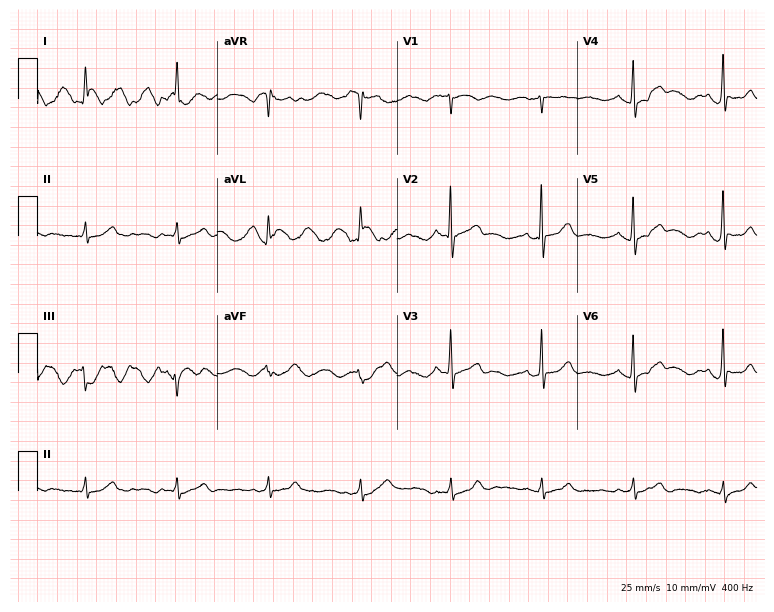
12-lead ECG from a 75-year-old male. Screened for six findings — first-degree AV block, right bundle branch block (RBBB), left bundle branch block (LBBB), sinus bradycardia, atrial fibrillation (AF), sinus tachycardia — none is recorded.